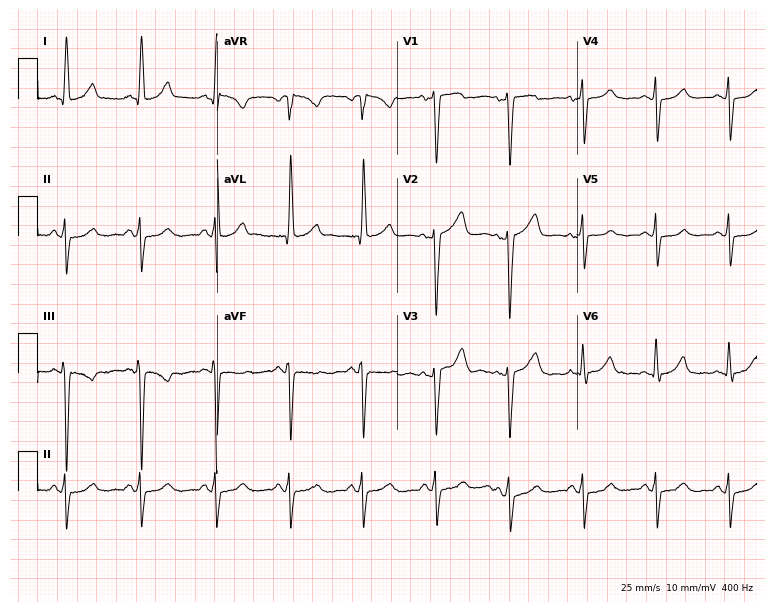
ECG (7.3-second recording at 400 Hz) — a female, 37 years old. Screened for six findings — first-degree AV block, right bundle branch block, left bundle branch block, sinus bradycardia, atrial fibrillation, sinus tachycardia — none is recorded. Only these six findings were labelled.